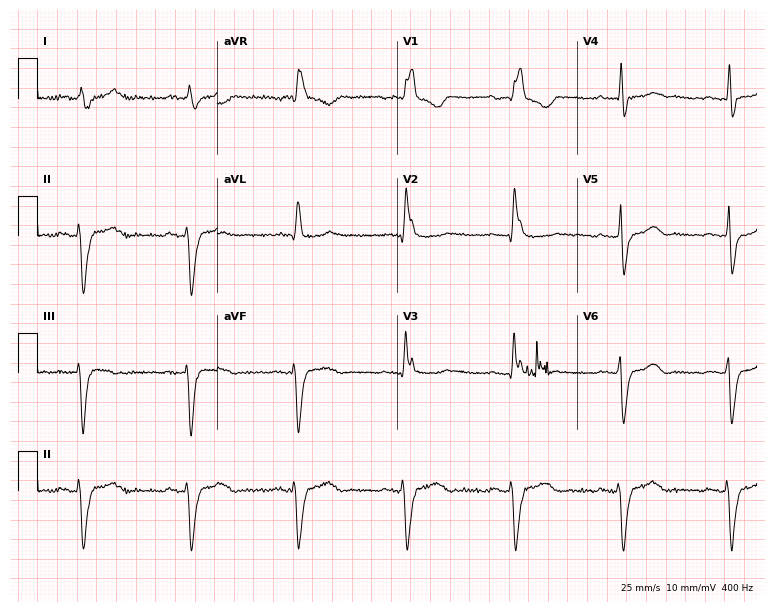
ECG (7.3-second recording at 400 Hz) — an 81-year-old man. Findings include right bundle branch block (RBBB).